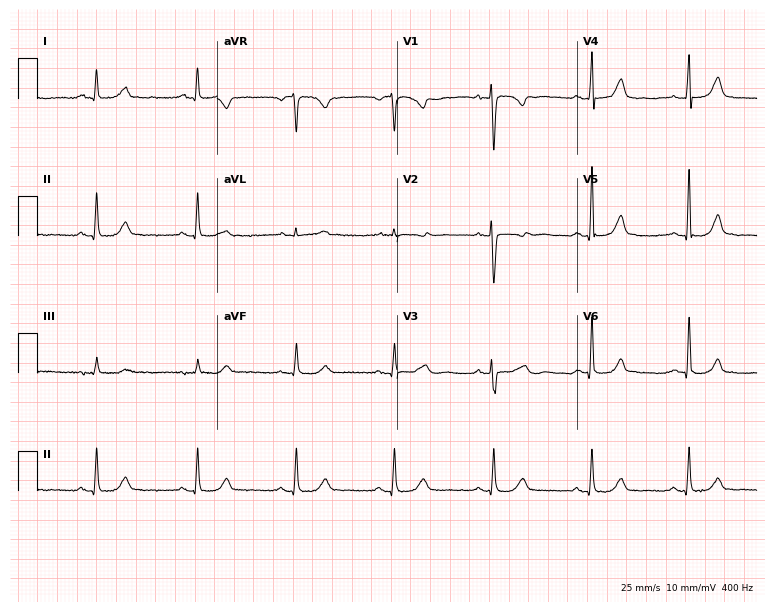
12-lead ECG from a 51-year-old woman. Screened for six findings — first-degree AV block, right bundle branch block (RBBB), left bundle branch block (LBBB), sinus bradycardia, atrial fibrillation (AF), sinus tachycardia — none is recorded.